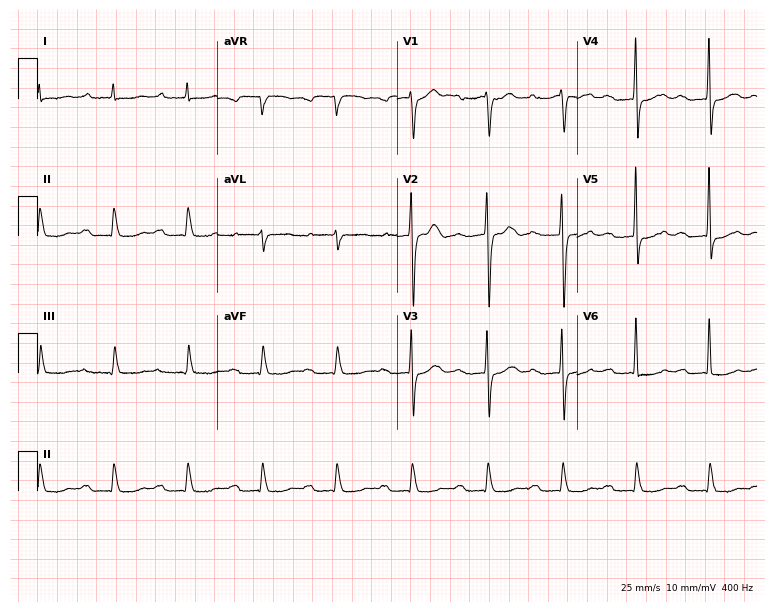
12-lead ECG from a male, 74 years old. Shows first-degree AV block.